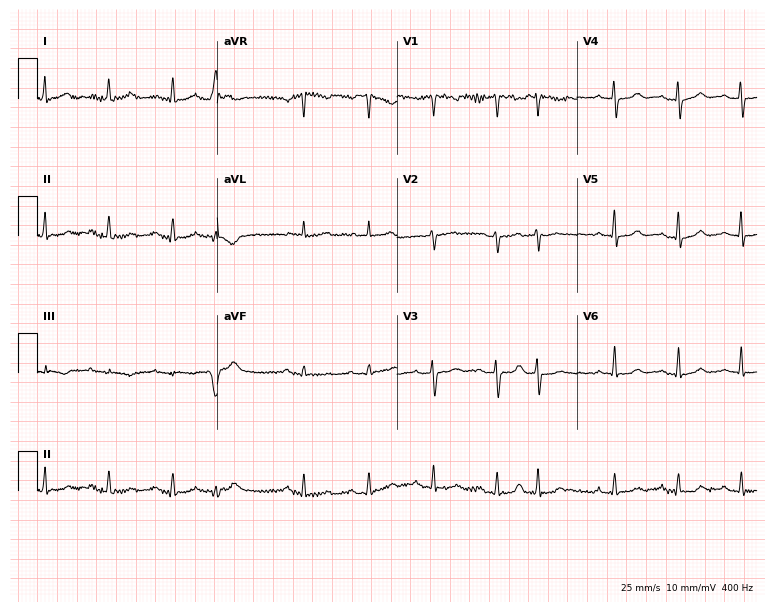
12-lead ECG from a 66-year-old female patient. No first-degree AV block, right bundle branch block (RBBB), left bundle branch block (LBBB), sinus bradycardia, atrial fibrillation (AF) or sinus tachycardia recorded for this tracing.